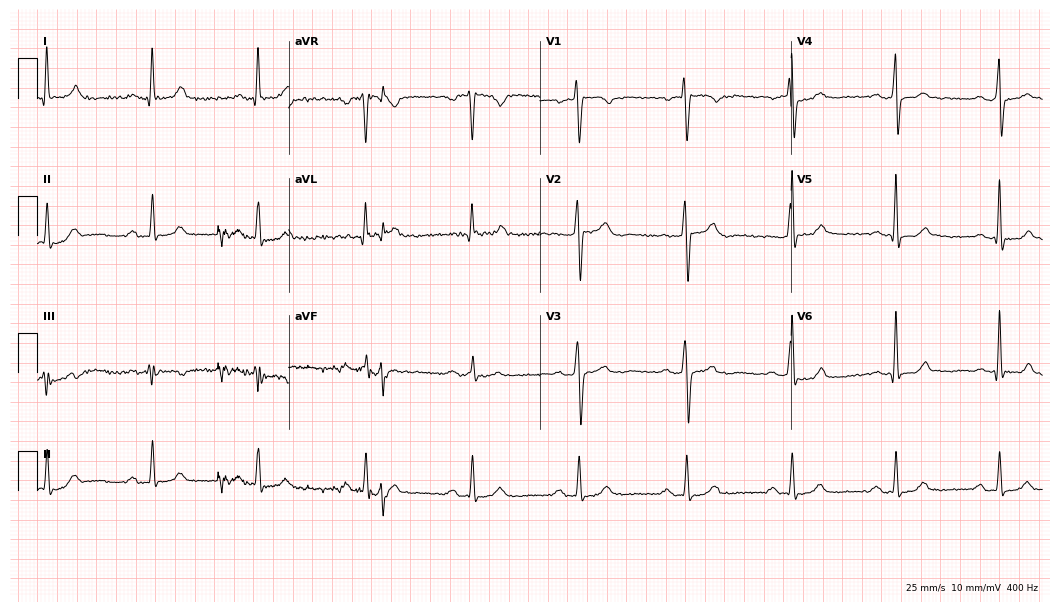
Electrocardiogram, a male patient, 52 years old. Of the six screened findings (first-degree AV block, right bundle branch block, left bundle branch block, sinus bradycardia, atrial fibrillation, sinus tachycardia), none is recorded.